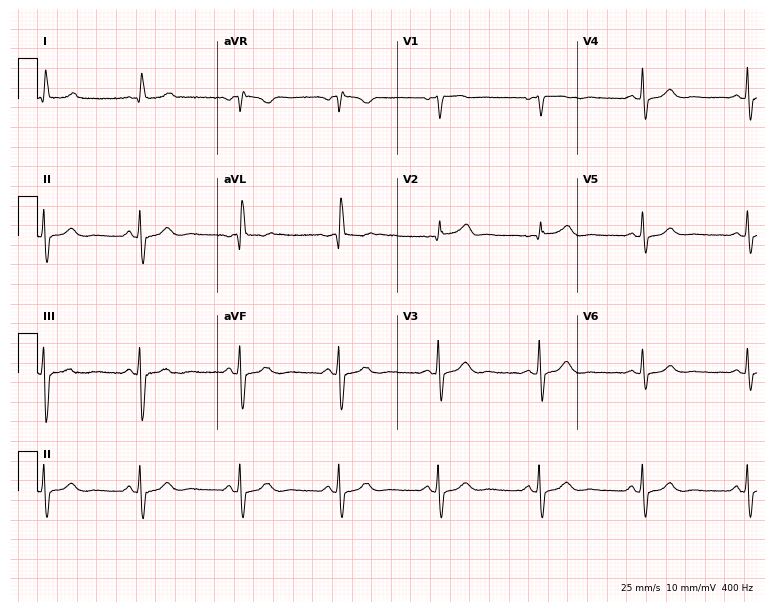
12-lead ECG from a female, 55 years old. No first-degree AV block, right bundle branch block, left bundle branch block, sinus bradycardia, atrial fibrillation or sinus tachycardia recorded for this tracing.